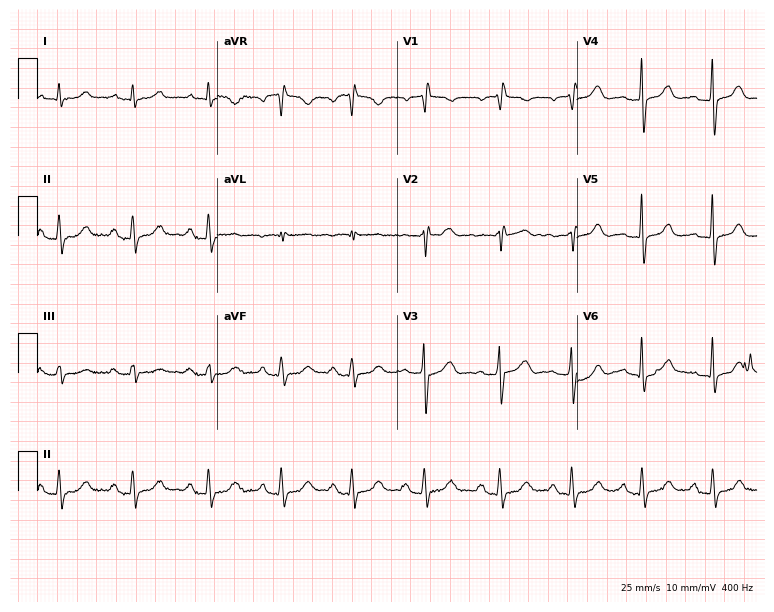
Electrocardiogram (7.3-second recording at 400 Hz), a 71-year-old woman. Interpretation includes first-degree AV block.